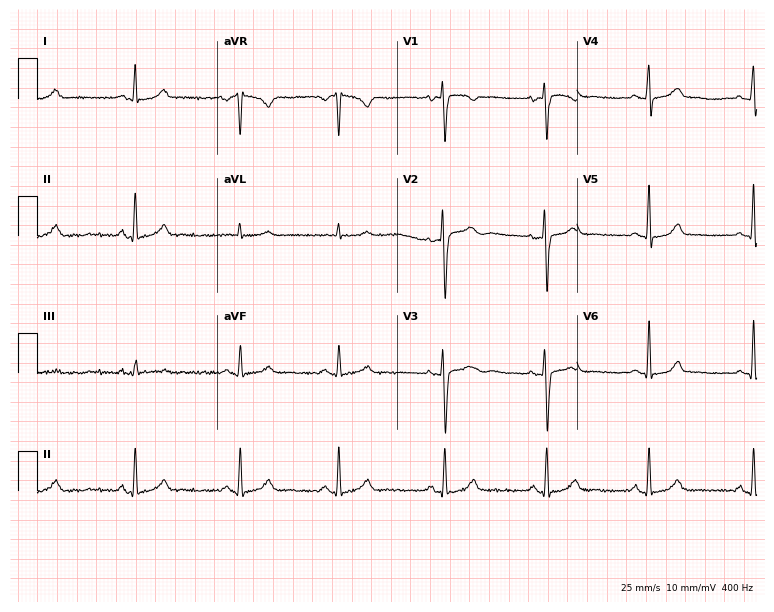
ECG (7.3-second recording at 400 Hz) — a woman, 30 years old. Screened for six findings — first-degree AV block, right bundle branch block, left bundle branch block, sinus bradycardia, atrial fibrillation, sinus tachycardia — none is recorded.